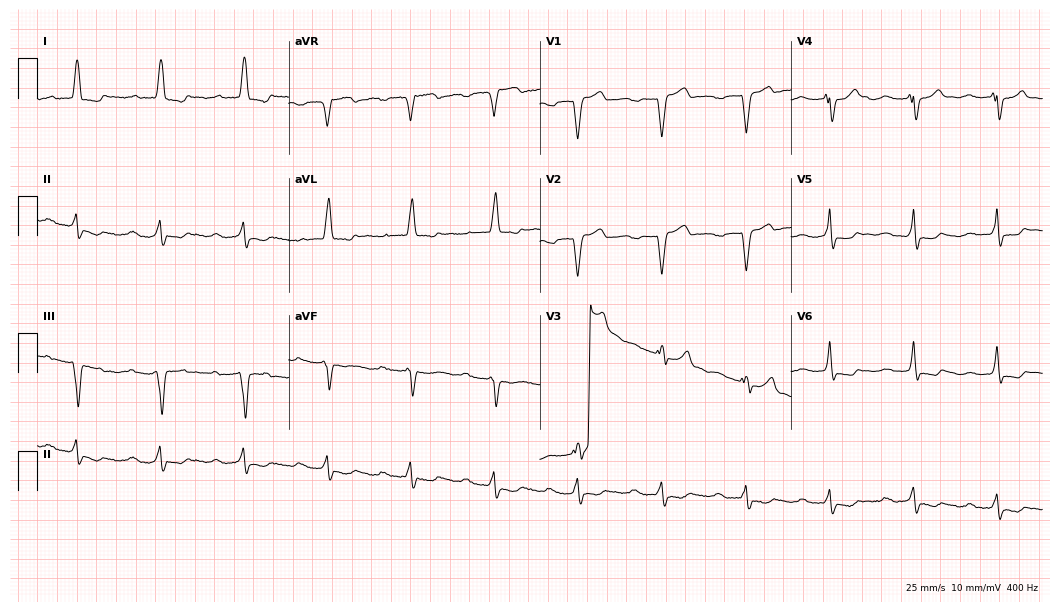
12-lead ECG from a 78-year-old female. Shows first-degree AV block, left bundle branch block.